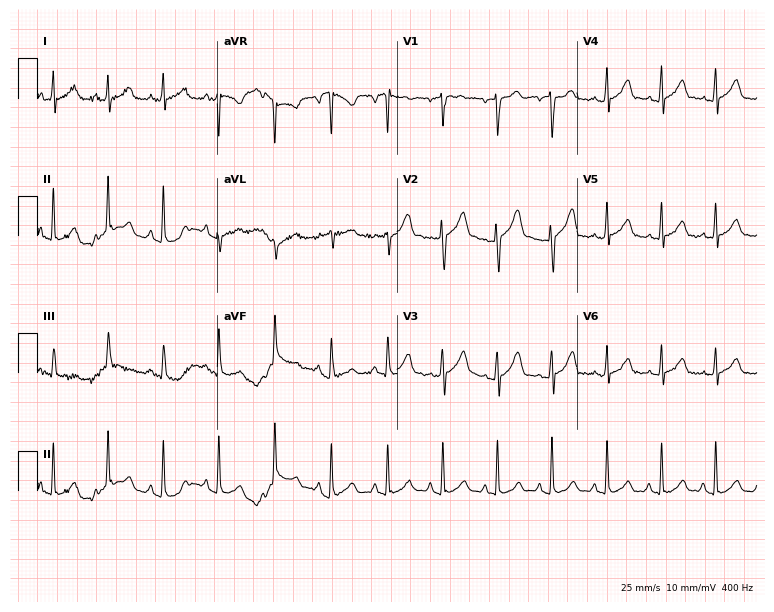
Resting 12-lead electrocardiogram. Patient: a 22-year-old man. The tracing shows sinus tachycardia (a sinus rate of 100 beats per minute or more).